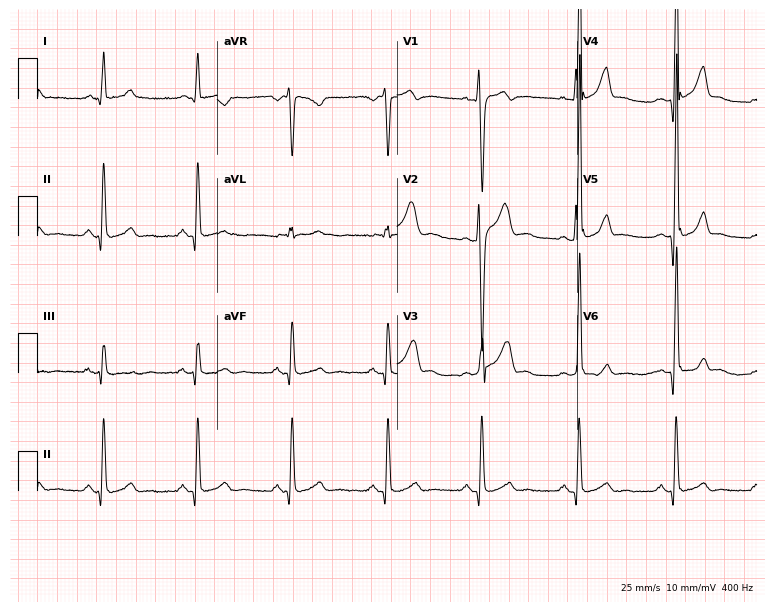
Standard 12-lead ECG recorded from a 34-year-old male patient (7.3-second recording at 400 Hz). None of these six findings is recorded: first-degree AV block, right bundle branch block, left bundle branch block, sinus bradycardia, atrial fibrillation, sinus tachycardia.